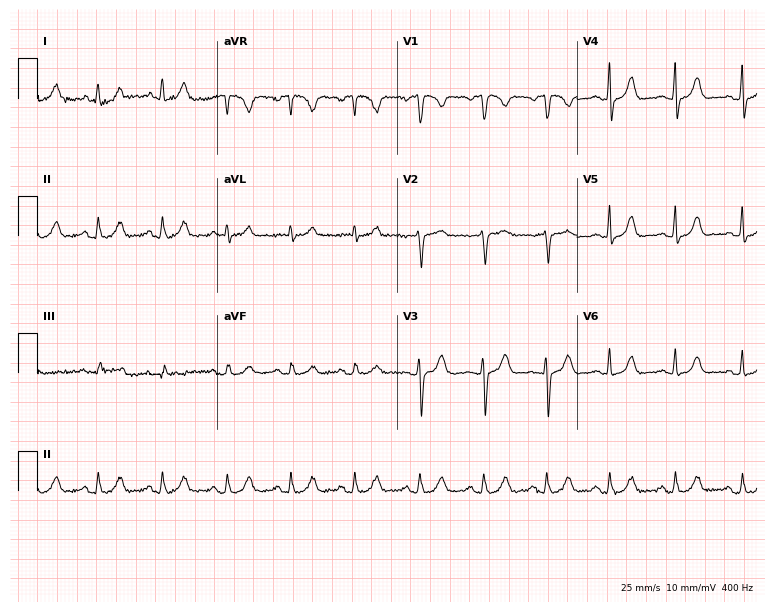
Electrocardiogram (7.3-second recording at 400 Hz), a 47-year-old female. Overall reading on record: normal ECG.